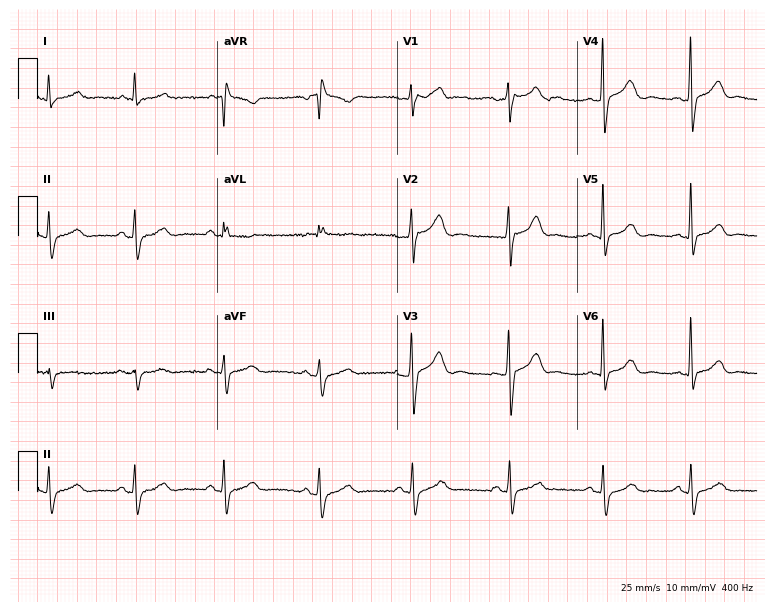
12-lead ECG from a 59-year-old man (7.3-second recording at 400 Hz). No first-degree AV block, right bundle branch block, left bundle branch block, sinus bradycardia, atrial fibrillation or sinus tachycardia recorded for this tracing. Findings outside these six are not listed.